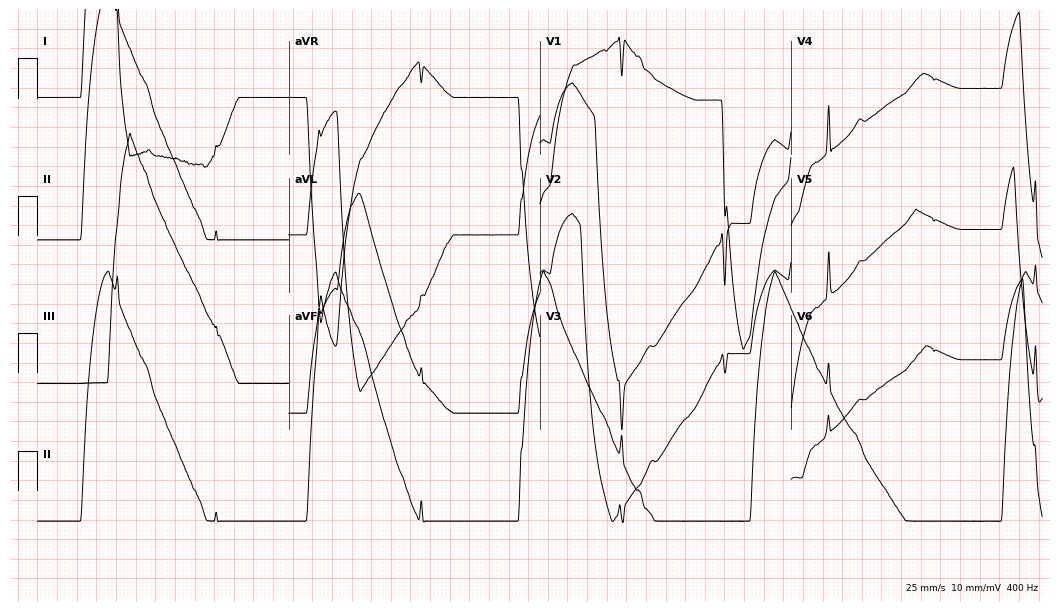
ECG (10.2-second recording at 400 Hz) — a female, 84 years old. Screened for six findings — first-degree AV block, right bundle branch block (RBBB), left bundle branch block (LBBB), sinus bradycardia, atrial fibrillation (AF), sinus tachycardia — none is recorded. Findings outside these six are not listed.